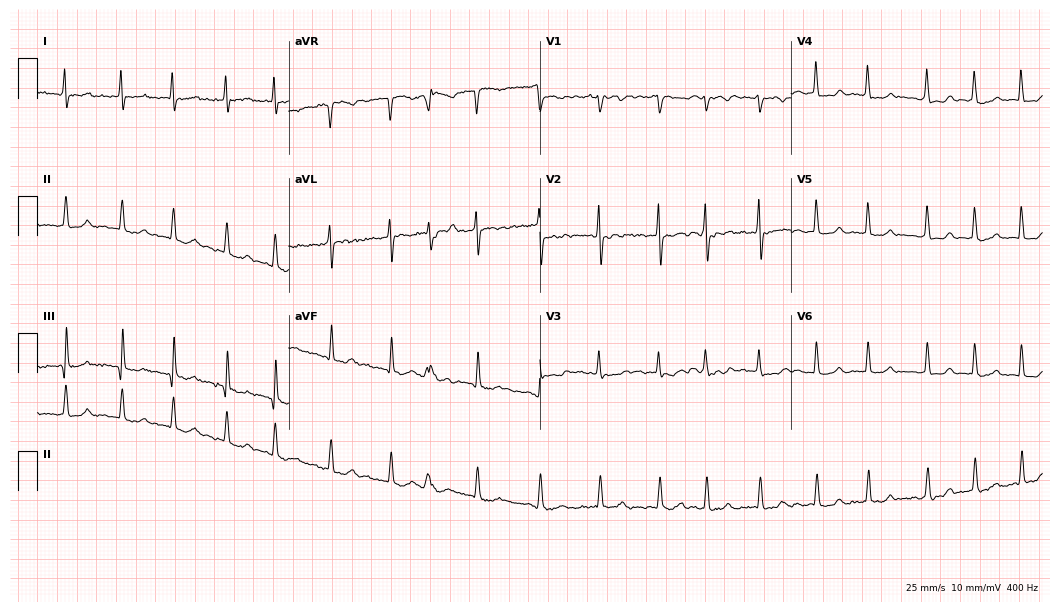
12-lead ECG from a 78-year-old female (10.2-second recording at 400 Hz). Shows atrial fibrillation (AF).